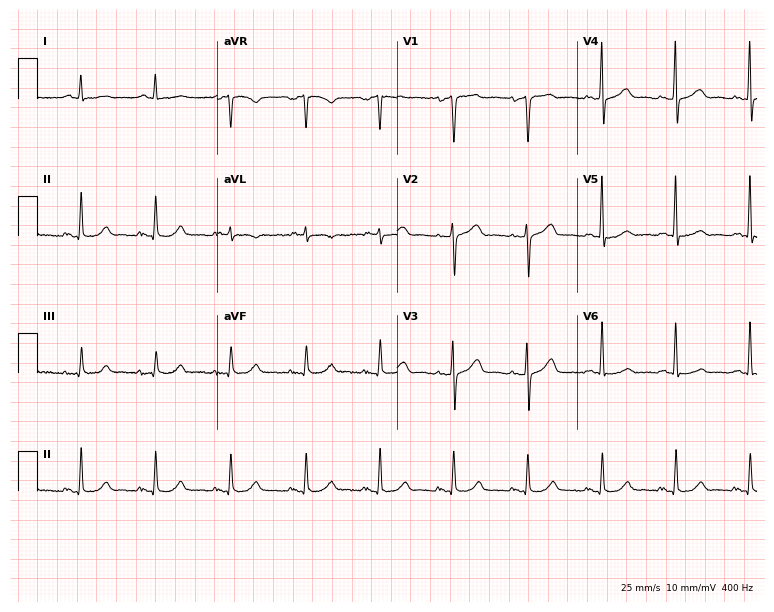
12-lead ECG from a male, 70 years old. Recorded interpretation: within normal limits.